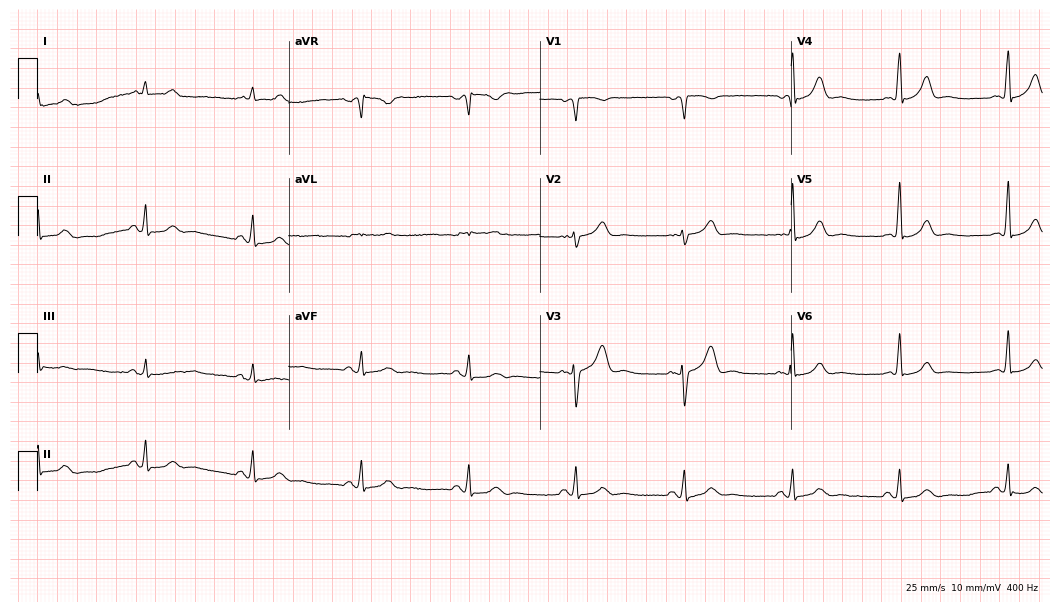
12-lead ECG from a 68-year-old male patient (10.2-second recording at 400 Hz). Recorded interpretation: within normal limits.